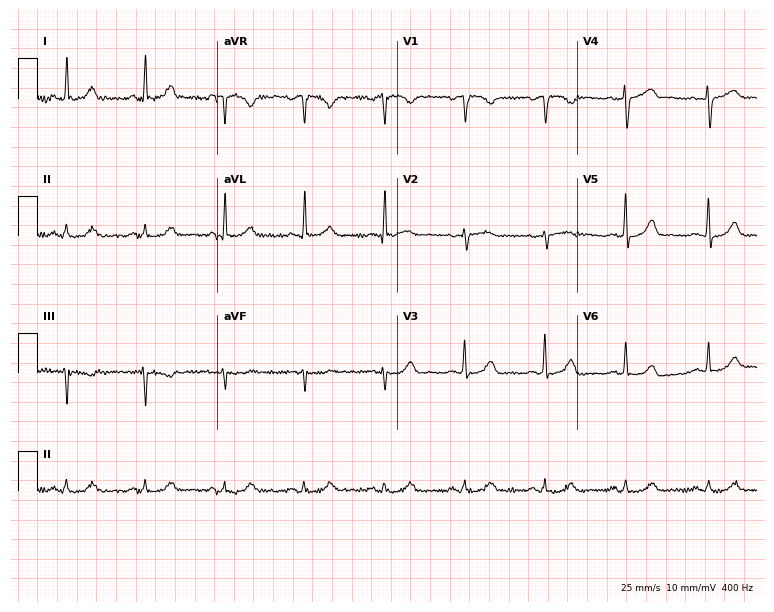
12-lead ECG from a woman, 69 years old. Screened for six findings — first-degree AV block, right bundle branch block, left bundle branch block, sinus bradycardia, atrial fibrillation, sinus tachycardia — none is recorded. Only these six findings were labelled.